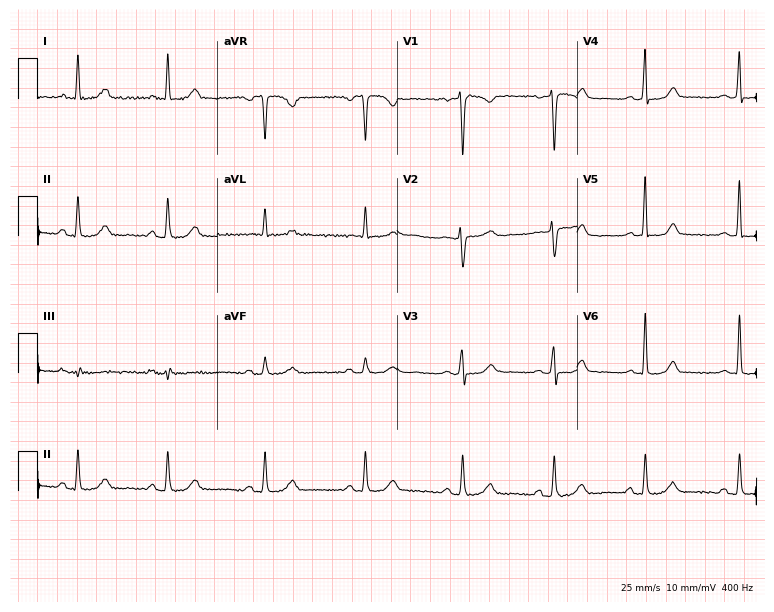
Standard 12-lead ECG recorded from a female patient, 45 years old. None of these six findings is recorded: first-degree AV block, right bundle branch block (RBBB), left bundle branch block (LBBB), sinus bradycardia, atrial fibrillation (AF), sinus tachycardia. Only these six findings were labelled.